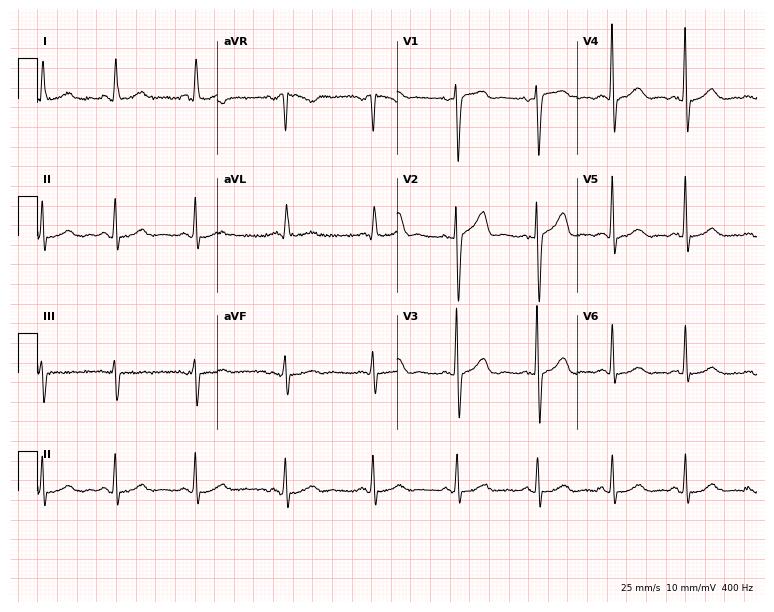
12-lead ECG (7.3-second recording at 400 Hz) from a 60-year-old female. Labelled as a normal ECG.